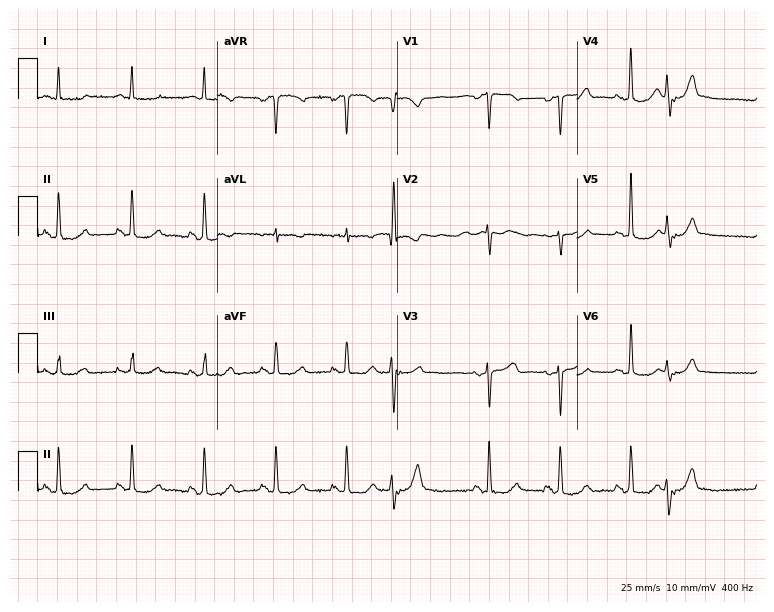
Electrocardiogram (7.3-second recording at 400 Hz), a female, 67 years old. Of the six screened findings (first-degree AV block, right bundle branch block (RBBB), left bundle branch block (LBBB), sinus bradycardia, atrial fibrillation (AF), sinus tachycardia), none is recorded.